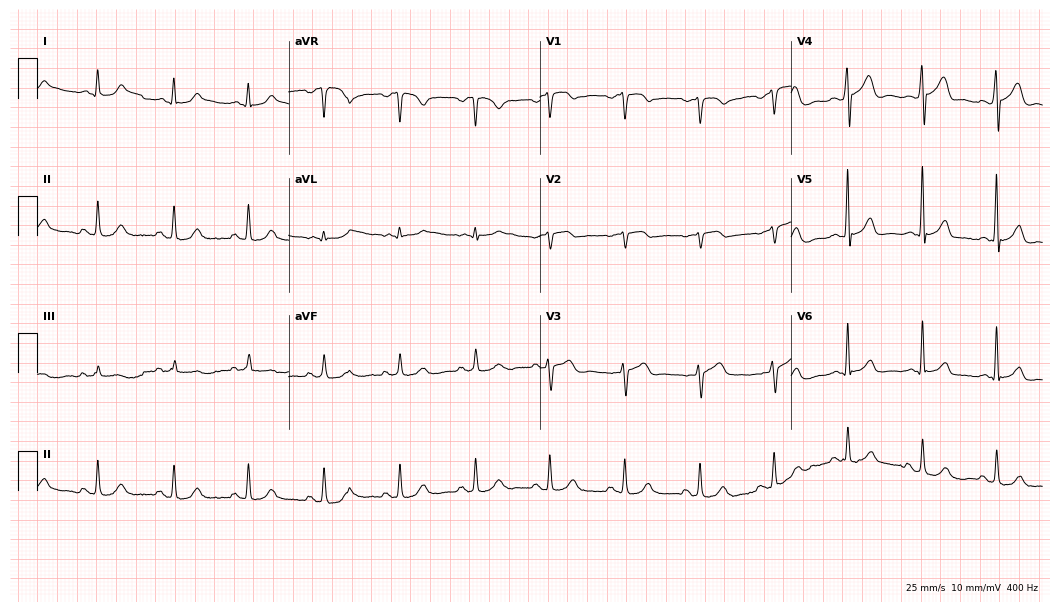
Standard 12-lead ECG recorded from a male, 55 years old. Read as a normal ECG.